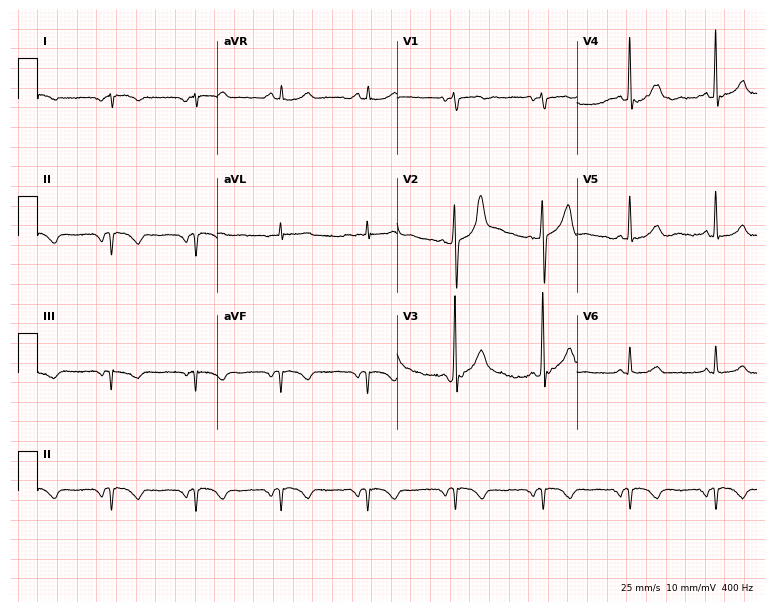
12-lead ECG from a male, 66 years old. No first-degree AV block, right bundle branch block, left bundle branch block, sinus bradycardia, atrial fibrillation or sinus tachycardia recorded for this tracing. Other findings, if any, are not listed.